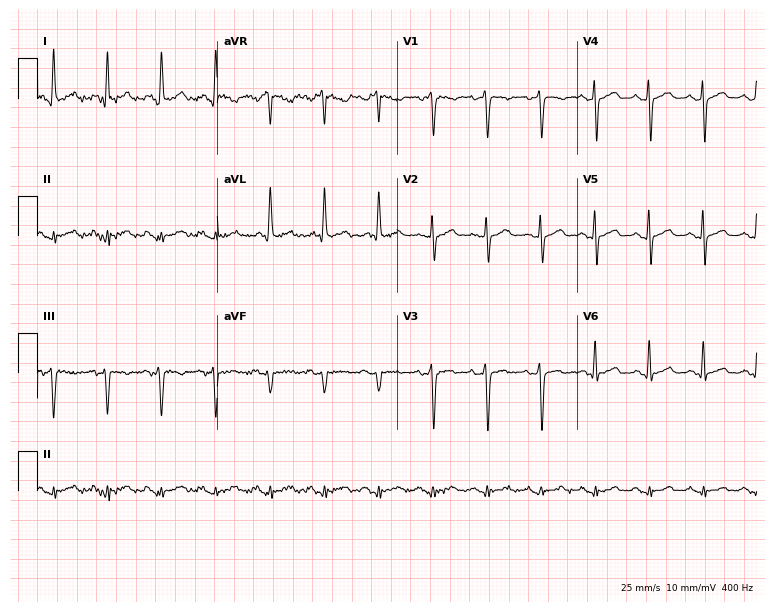
Electrocardiogram (7.3-second recording at 400 Hz), a 39-year-old male patient. Of the six screened findings (first-degree AV block, right bundle branch block, left bundle branch block, sinus bradycardia, atrial fibrillation, sinus tachycardia), none is recorded.